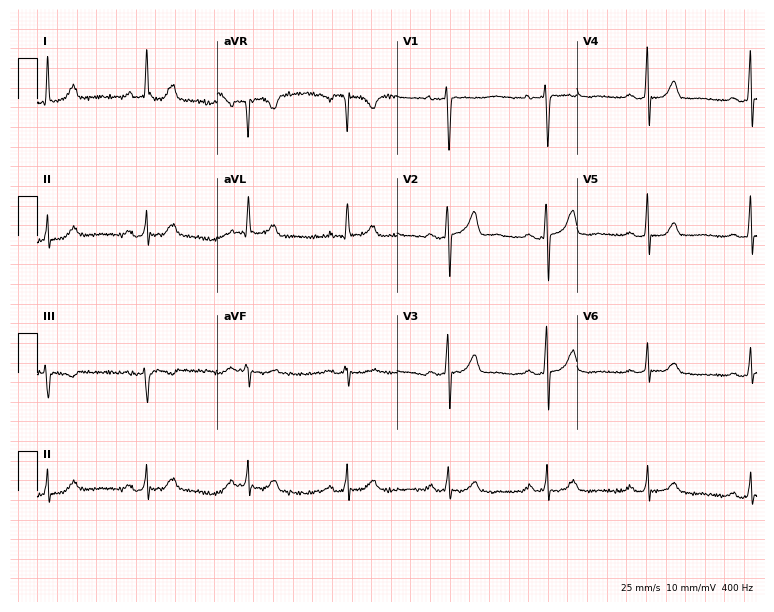
ECG (7.3-second recording at 400 Hz) — a female patient, 54 years old. Labelled as a normal ECG.